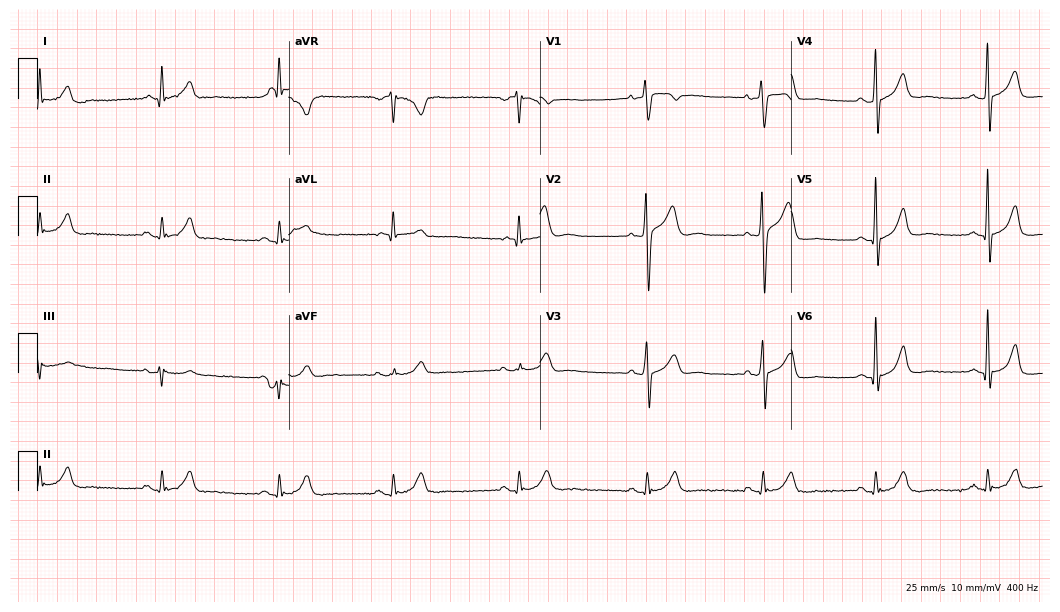
ECG (10.2-second recording at 400 Hz) — a man, 42 years old. Findings include sinus bradycardia (a sinus rate of 50 beats per minute or less).